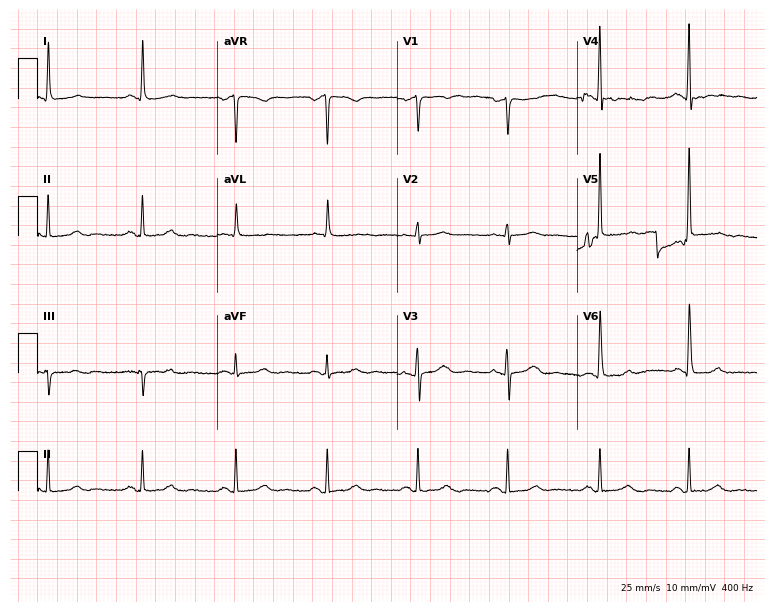
Standard 12-lead ECG recorded from a woman, 64 years old (7.3-second recording at 400 Hz). Read as a normal ECG.